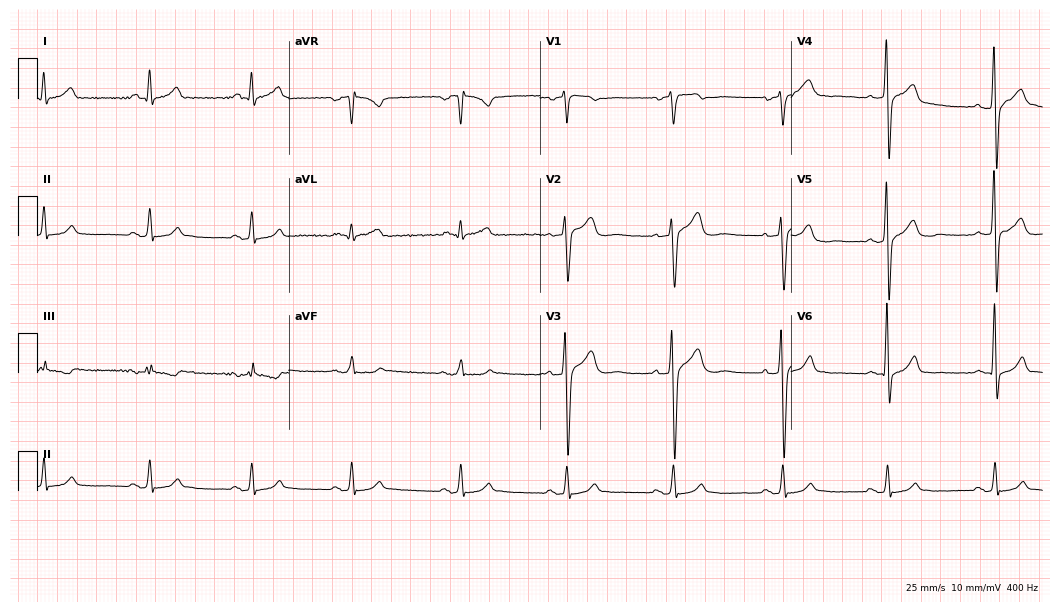
Standard 12-lead ECG recorded from a 54-year-old male patient. None of these six findings is recorded: first-degree AV block, right bundle branch block, left bundle branch block, sinus bradycardia, atrial fibrillation, sinus tachycardia.